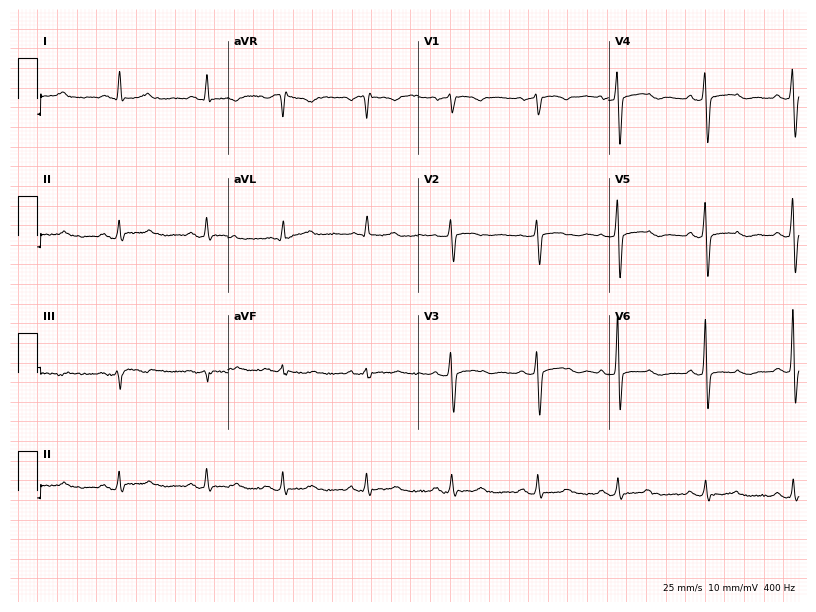
ECG — a 73-year-old female patient. Labelled as a normal ECG.